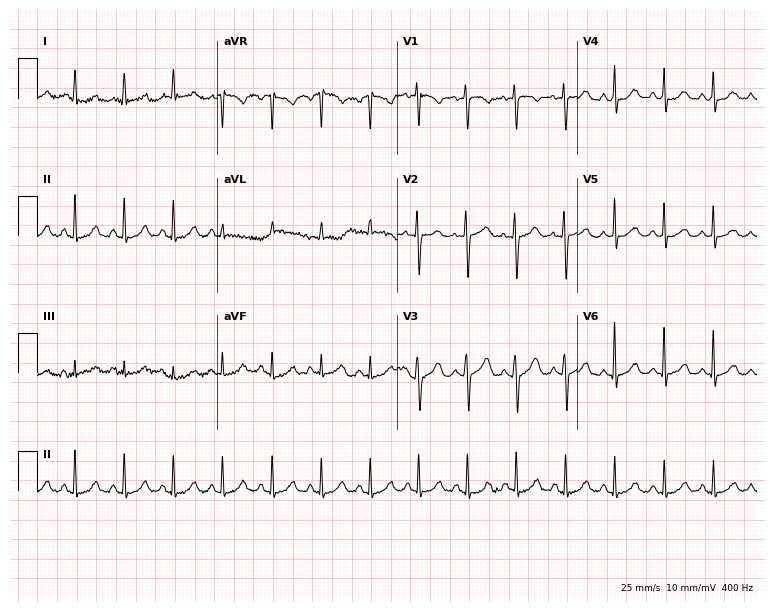
ECG — a female patient, 56 years old. Findings include sinus tachycardia (a sinus rate of 100 beats per minute or more).